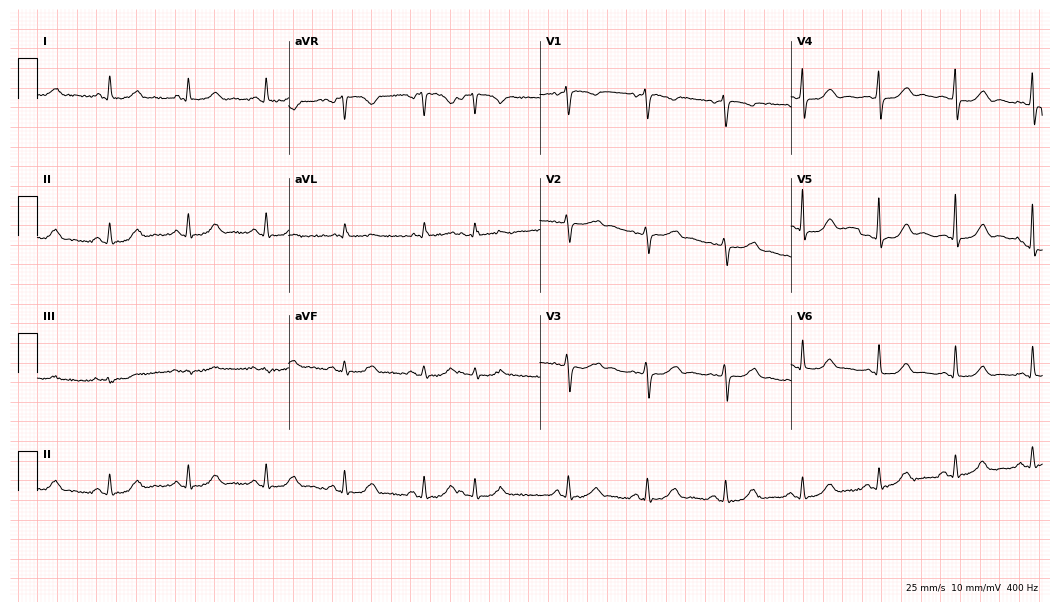
12-lead ECG from a woman, 66 years old. Recorded interpretation: within normal limits.